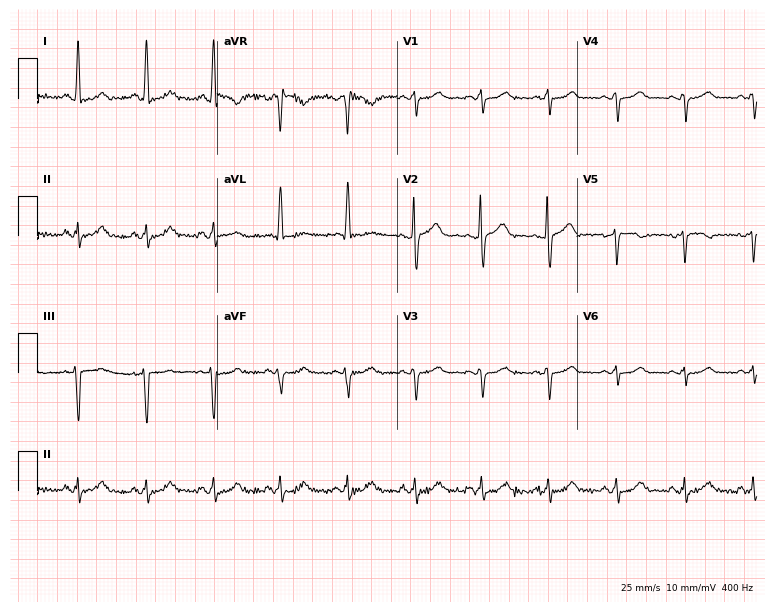
Resting 12-lead electrocardiogram. Patient: a woman, 51 years old. None of these six findings is recorded: first-degree AV block, right bundle branch block, left bundle branch block, sinus bradycardia, atrial fibrillation, sinus tachycardia. Only these six findings were labelled.